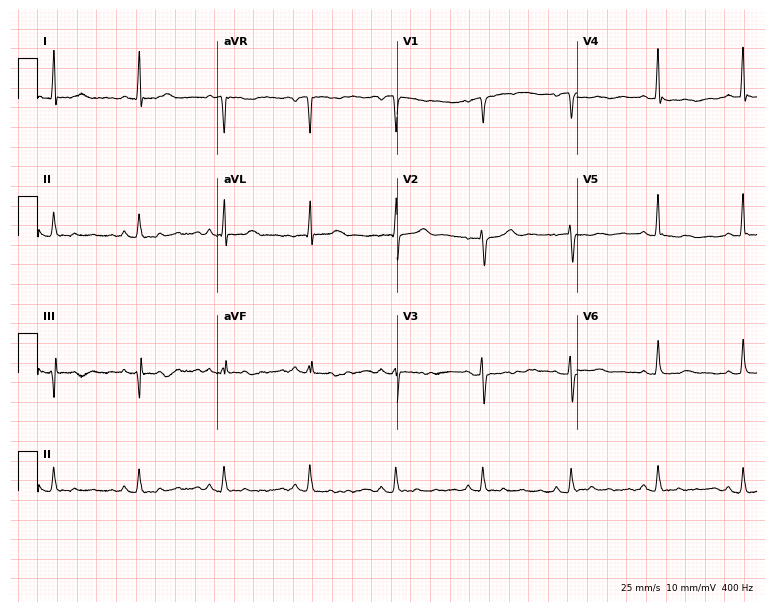
Standard 12-lead ECG recorded from a 58-year-old female patient (7.3-second recording at 400 Hz). None of these six findings is recorded: first-degree AV block, right bundle branch block, left bundle branch block, sinus bradycardia, atrial fibrillation, sinus tachycardia. Only these six findings were labelled.